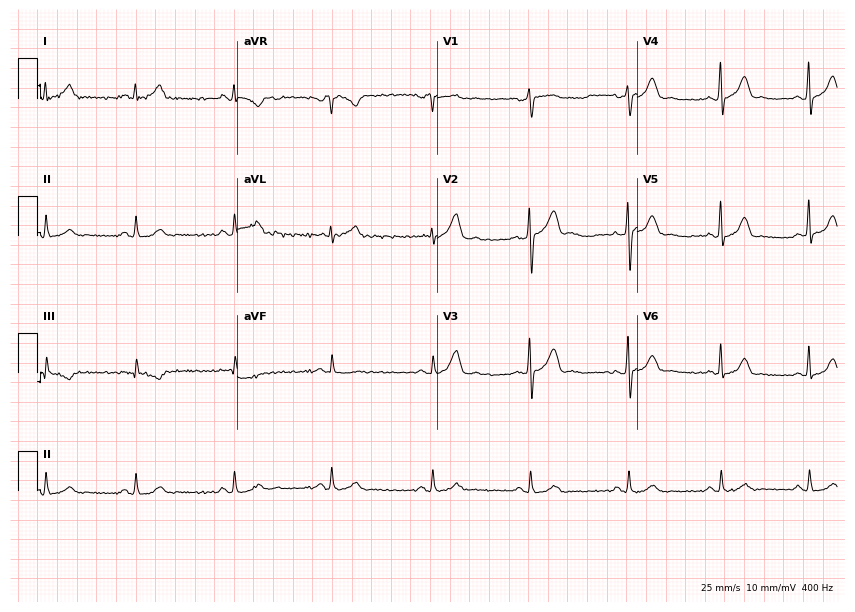
ECG (8.2-second recording at 400 Hz) — a male patient, 43 years old. Screened for six findings — first-degree AV block, right bundle branch block, left bundle branch block, sinus bradycardia, atrial fibrillation, sinus tachycardia — none is recorded.